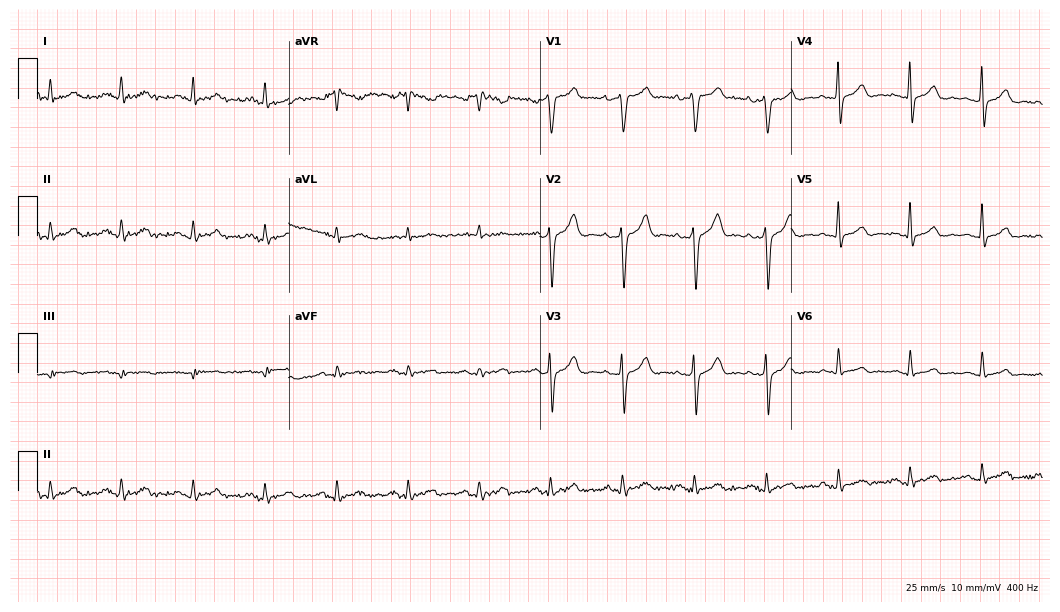
ECG — a male, 55 years old. Screened for six findings — first-degree AV block, right bundle branch block (RBBB), left bundle branch block (LBBB), sinus bradycardia, atrial fibrillation (AF), sinus tachycardia — none is recorded.